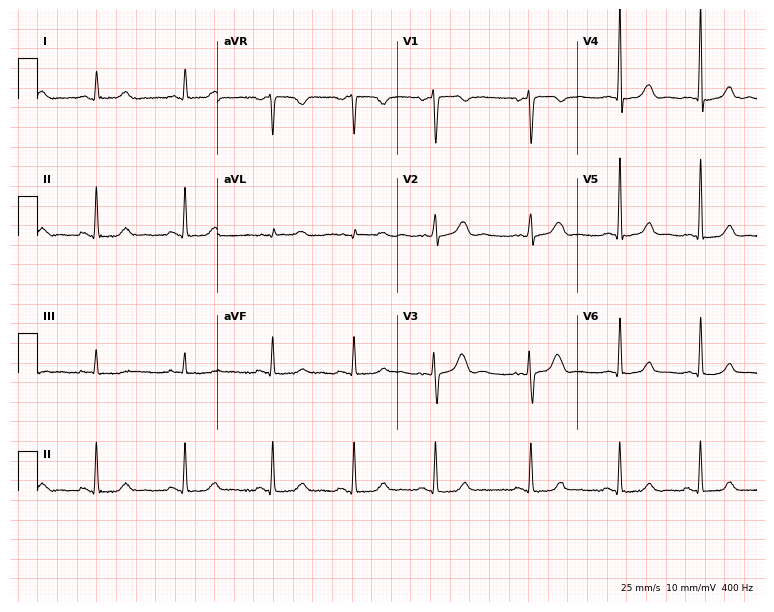
ECG (7.3-second recording at 400 Hz) — a 40-year-old female patient. Labelled as a normal ECG.